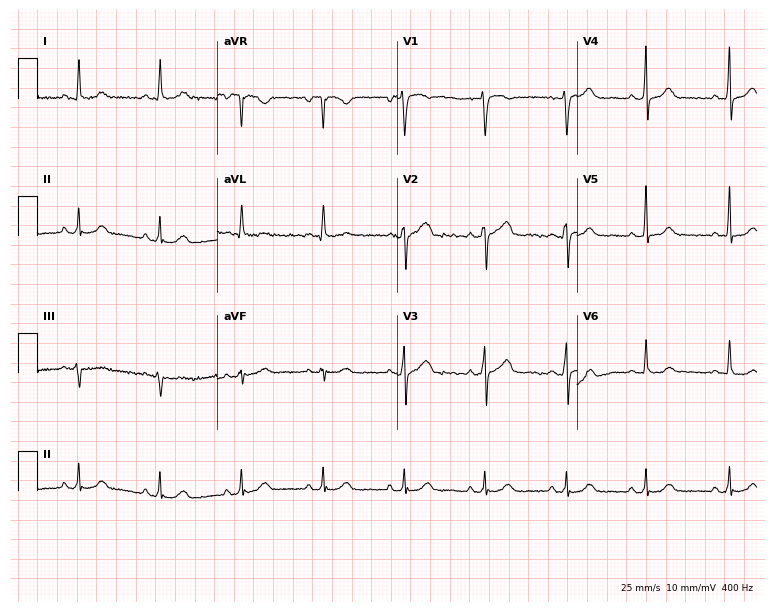
Electrocardiogram (7.3-second recording at 400 Hz), a 44-year-old man. Overall reading on record: normal ECG.